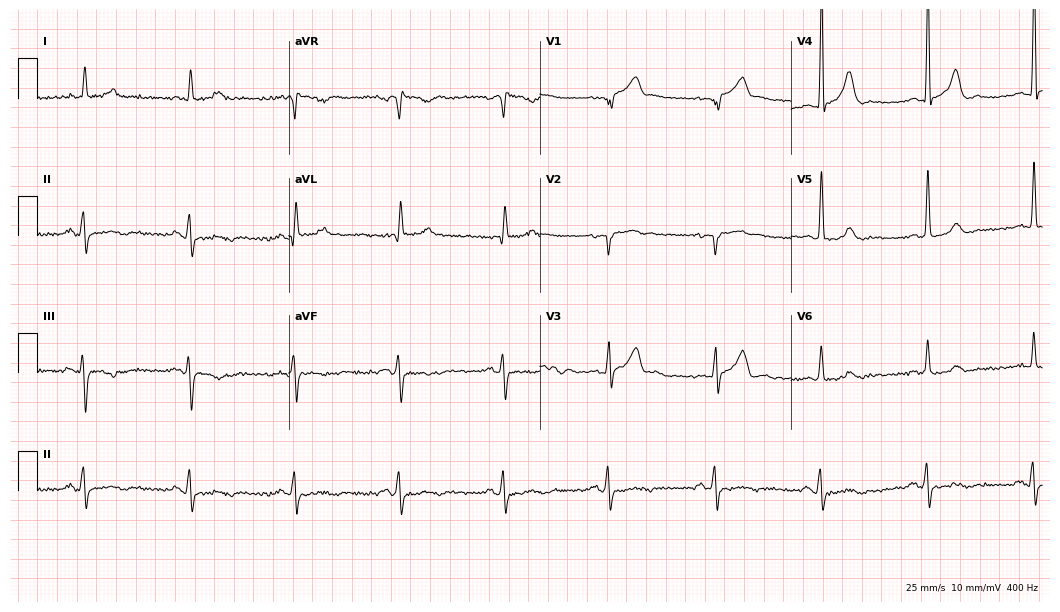
Standard 12-lead ECG recorded from a man, 72 years old. Read as a normal ECG.